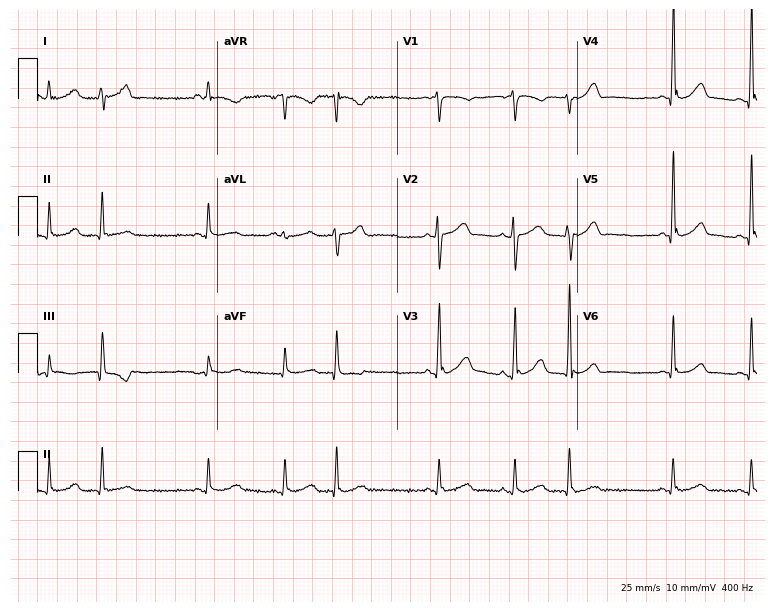
Electrocardiogram (7.3-second recording at 400 Hz), a male patient, 44 years old. Of the six screened findings (first-degree AV block, right bundle branch block, left bundle branch block, sinus bradycardia, atrial fibrillation, sinus tachycardia), none is recorded. Findings outside these six are not listed.